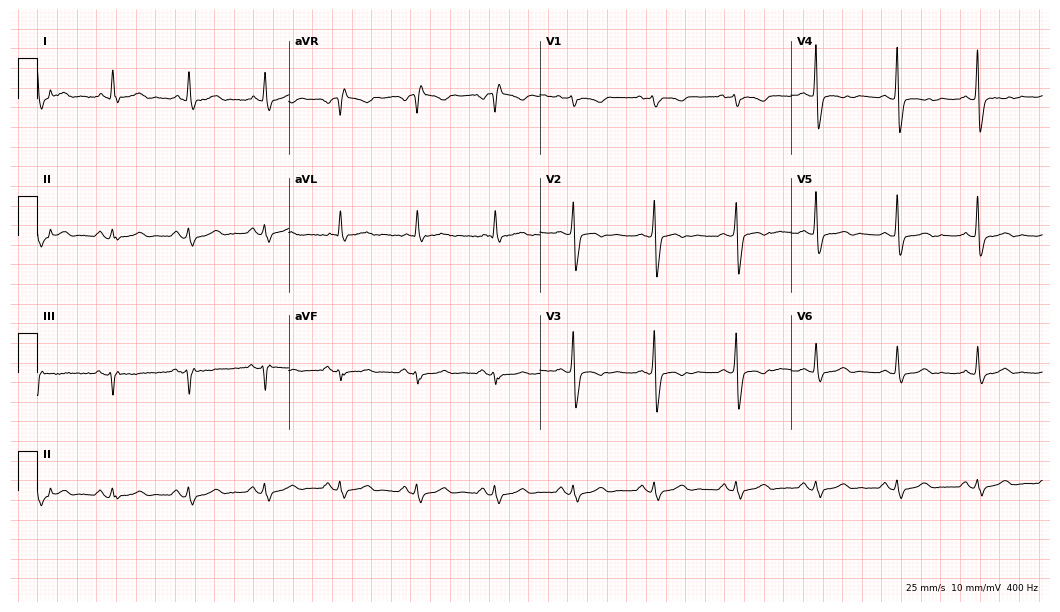
Resting 12-lead electrocardiogram (10.2-second recording at 400 Hz). Patient: a man, 57 years old. None of these six findings is recorded: first-degree AV block, right bundle branch block, left bundle branch block, sinus bradycardia, atrial fibrillation, sinus tachycardia. Only these six findings were labelled.